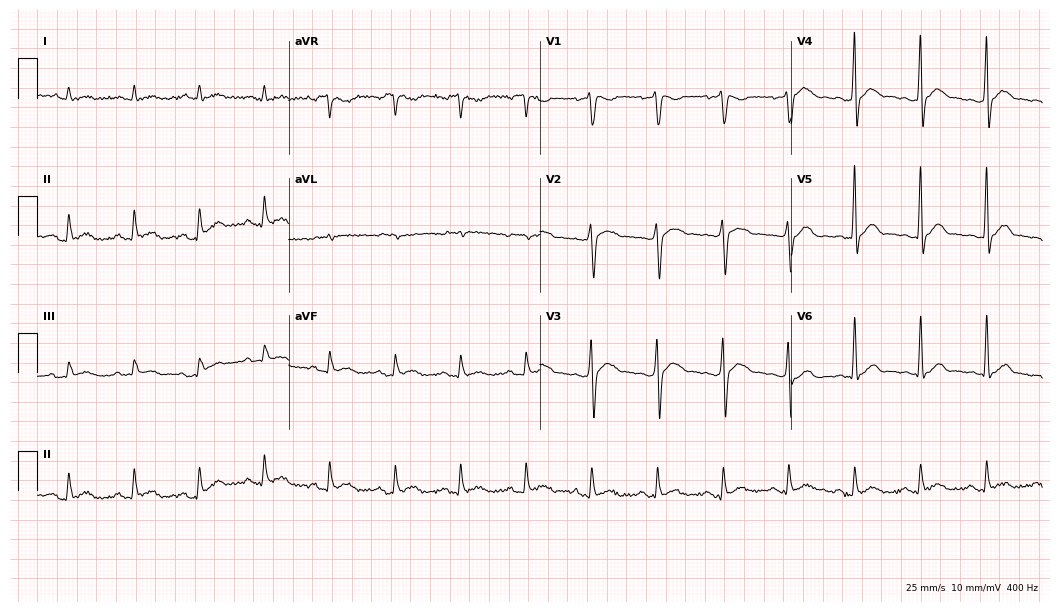
ECG — a man, 53 years old. Labelled as a normal ECG.